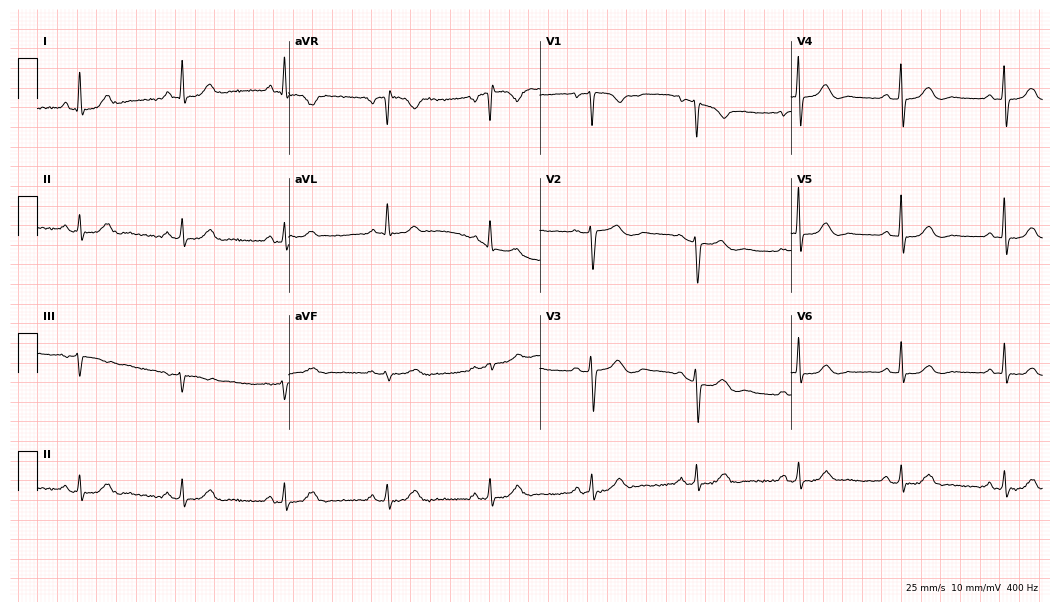
12-lead ECG from a female patient, 66 years old. Recorded interpretation: within normal limits.